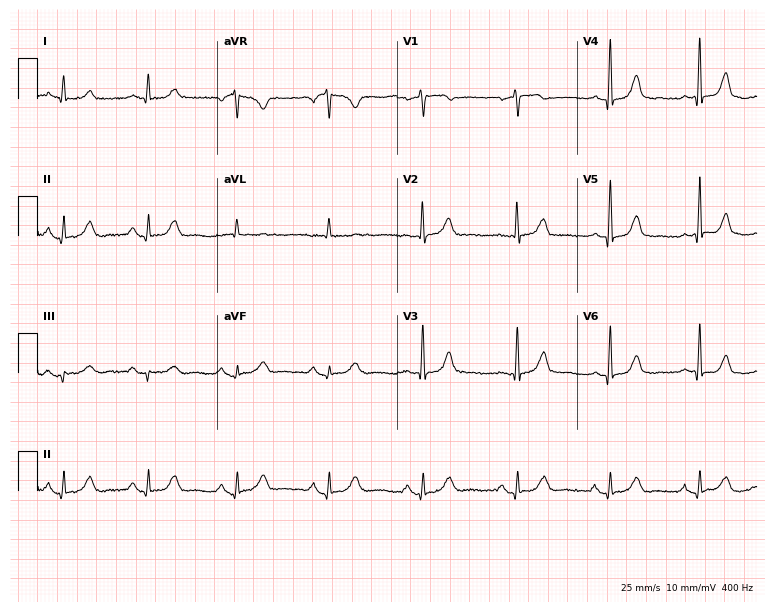
Resting 12-lead electrocardiogram (7.3-second recording at 400 Hz). Patient: a 60-year-old woman. None of these six findings is recorded: first-degree AV block, right bundle branch block, left bundle branch block, sinus bradycardia, atrial fibrillation, sinus tachycardia. Other findings, if any, are not listed.